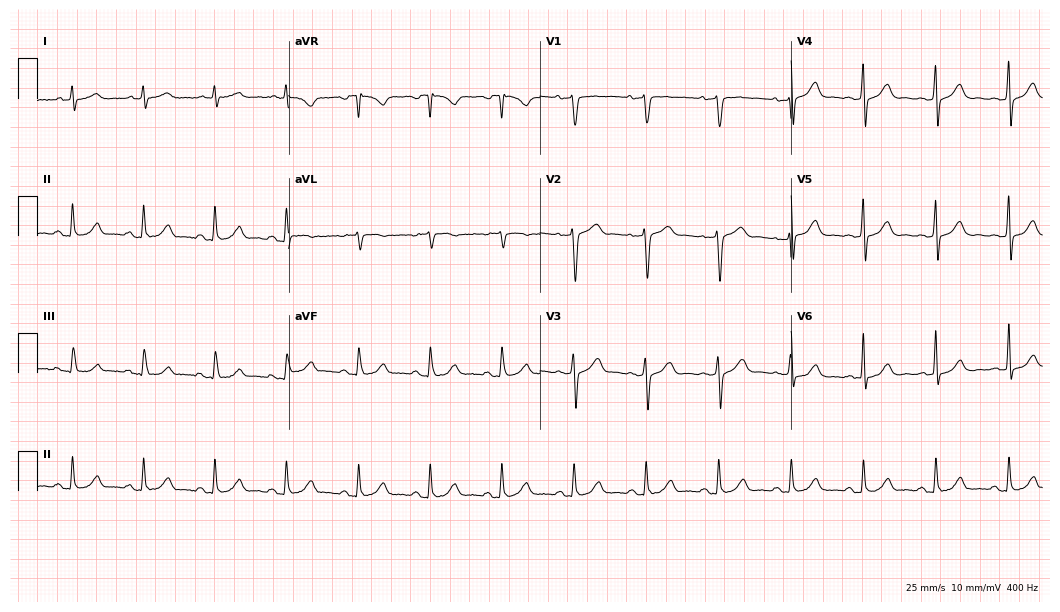
ECG (10.2-second recording at 400 Hz) — a 65-year-old male. Labelled as a normal ECG.